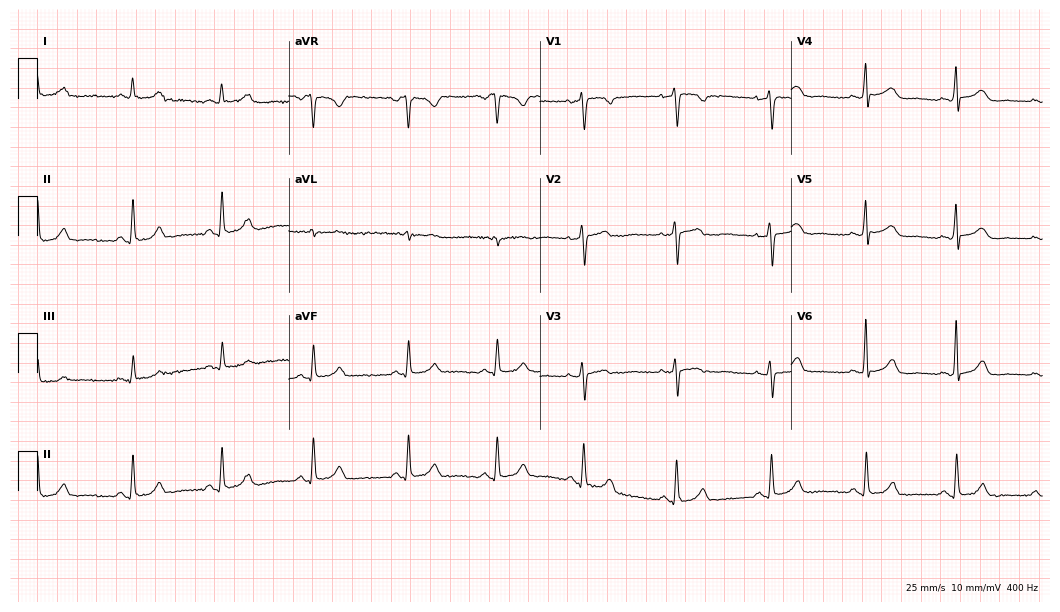
12-lead ECG from a woman, 40 years old. Recorded interpretation: within normal limits.